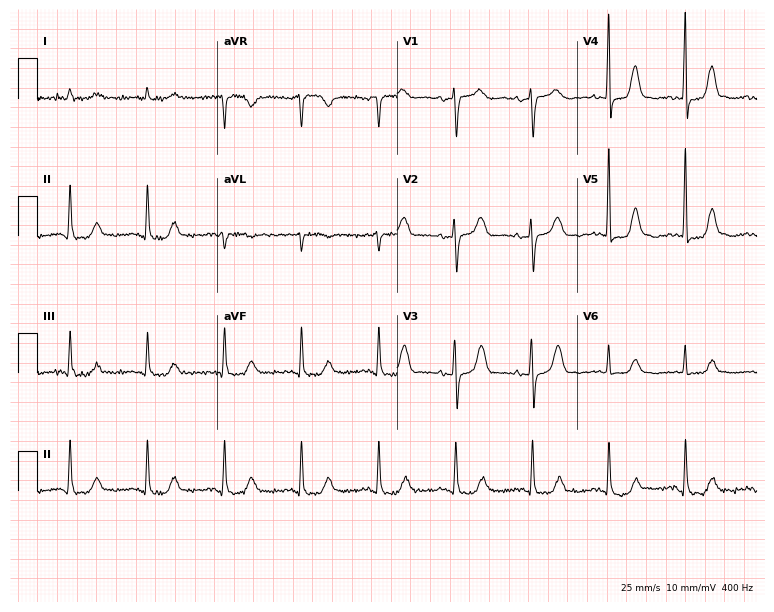
12-lead ECG from a female, 76 years old (7.3-second recording at 400 Hz). Recorded interpretation: within normal limits.